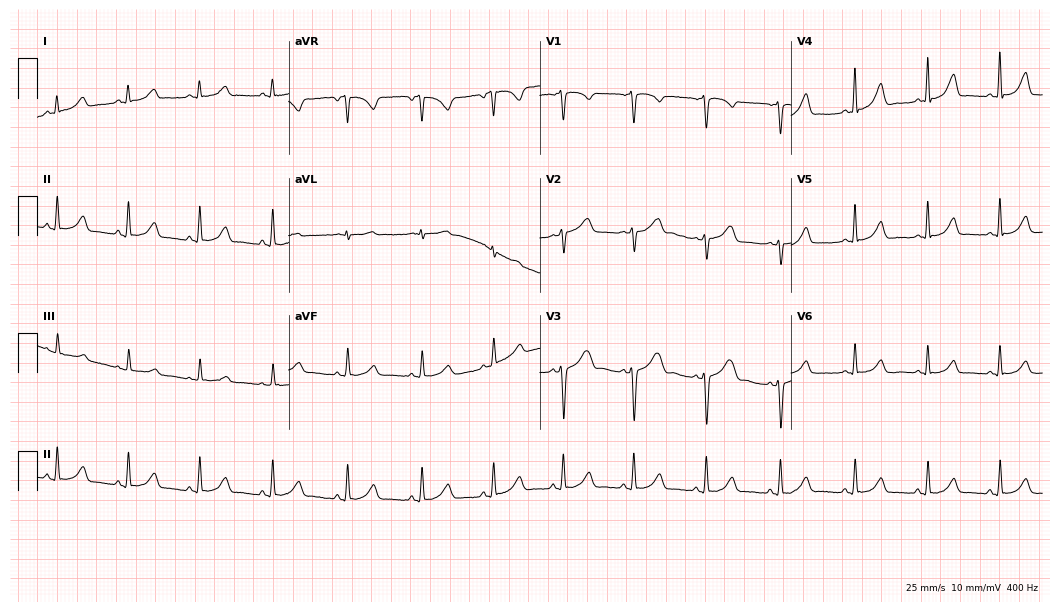
Electrocardiogram (10.2-second recording at 400 Hz), a female, 38 years old. Overall reading on record: normal ECG.